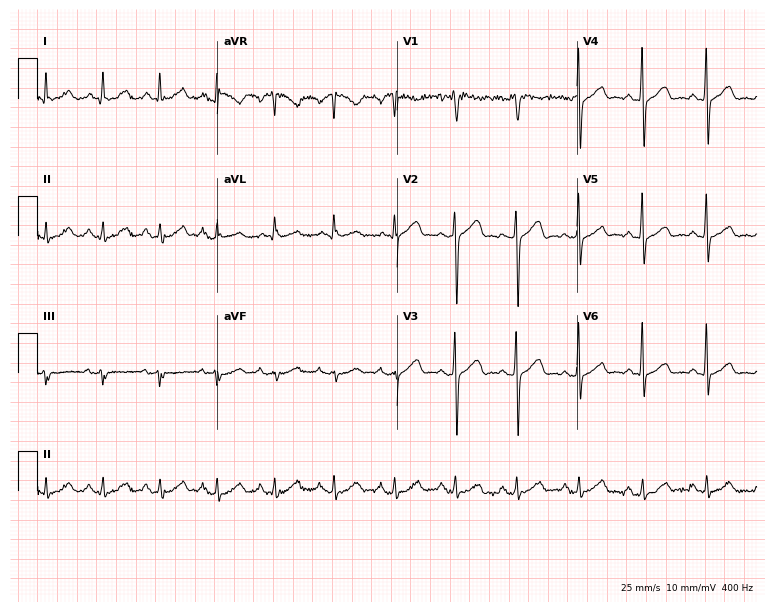
Electrocardiogram, a 54-year-old male patient. Of the six screened findings (first-degree AV block, right bundle branch block (RBBB), left bundle branch block (LBBB), sinus bradycardia, atrial fibrillation (AF), sinus tachycardia), none is recorded.